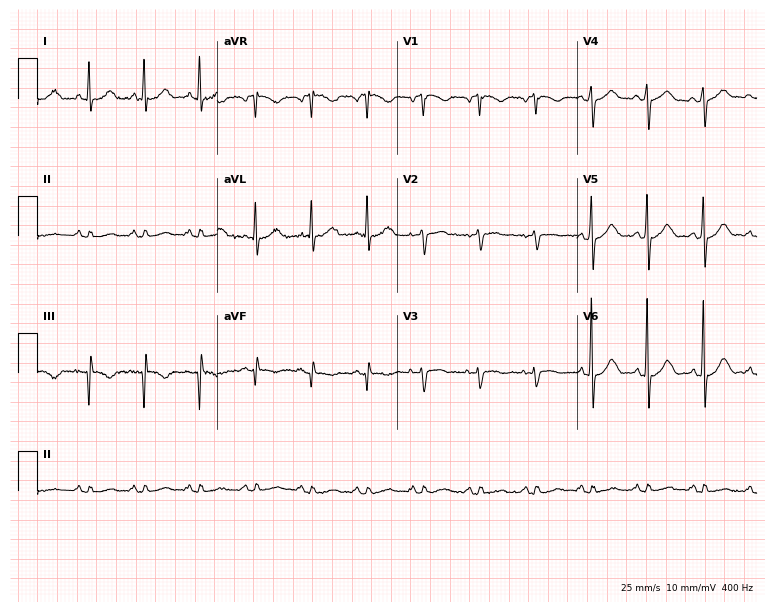
12-lead ECG (7.3-second recording at 400 Hz) from a male patient, 66 years old. Findings include sinus tachycardia (a sinus rate of 100 beats per minute or more).